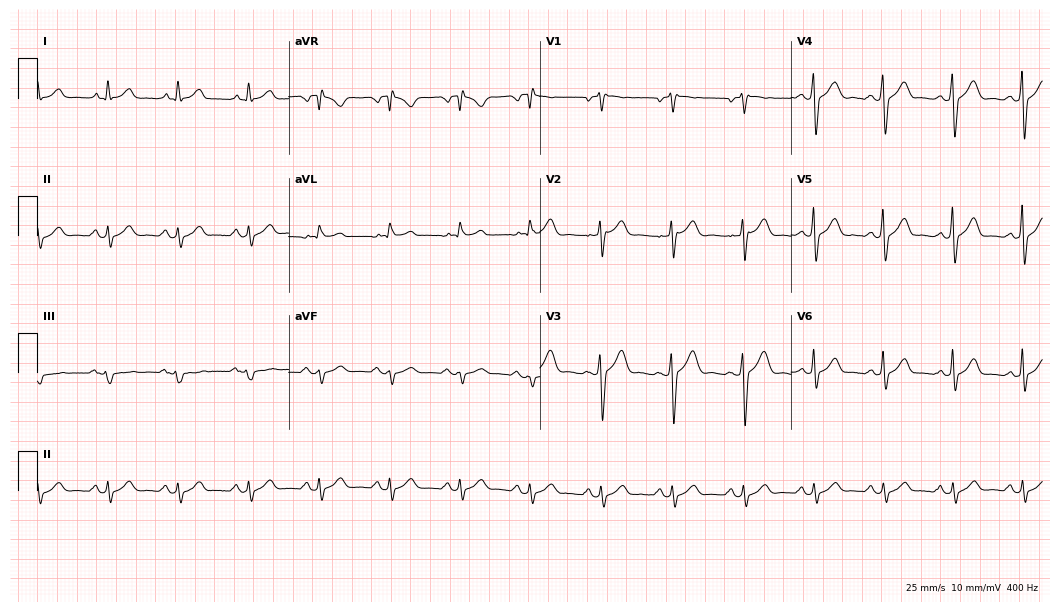
12-lead ECG from a male, 63 years old (10.2-second recording at 400 Hz). Recorded interpretation: within normal limits.